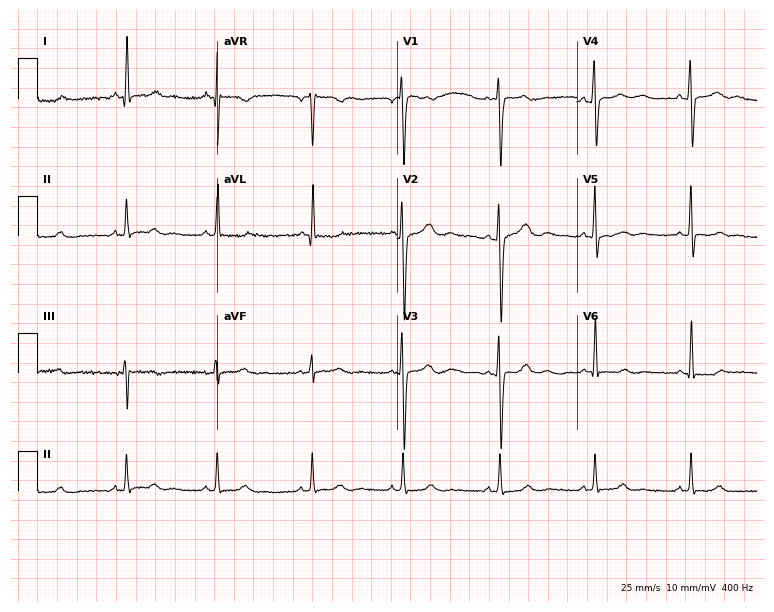
Standard 12-lead ECG recorded from a female patient, 32 years old. None of these six findings is recorded: first-degree AV block, right bundle branch block, left bundle branch block, sinus bradycardia, atrial fibrillation, sinus tachycardia.